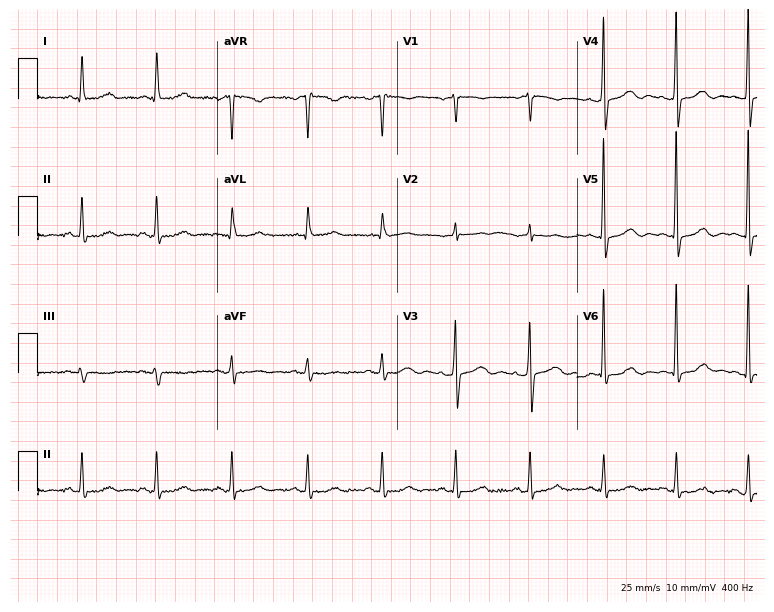
Standard 12-lead ECG recorded from an 80-year-old woman (7.3-second recording at 400 Hz). Read as a normal ECG.